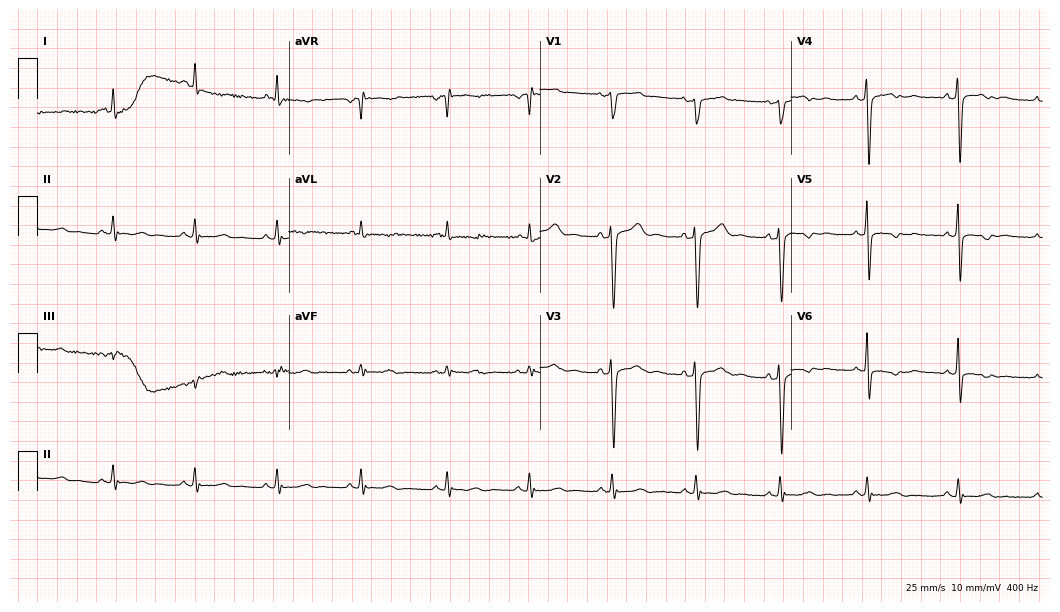
Standard 12-lead ECG recorded from a 53-year-old female patient. Read as a normal ECG.